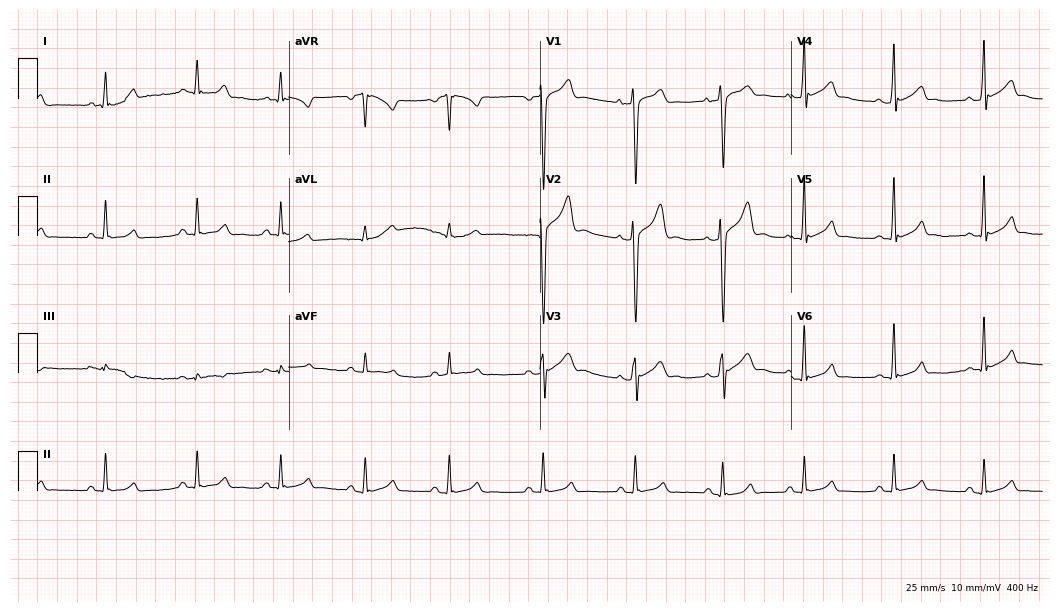
12-lead ECG from a male patient, 19 years old (10.2-second recording at 400 Hz). Recorded interpretation: within normal limits.